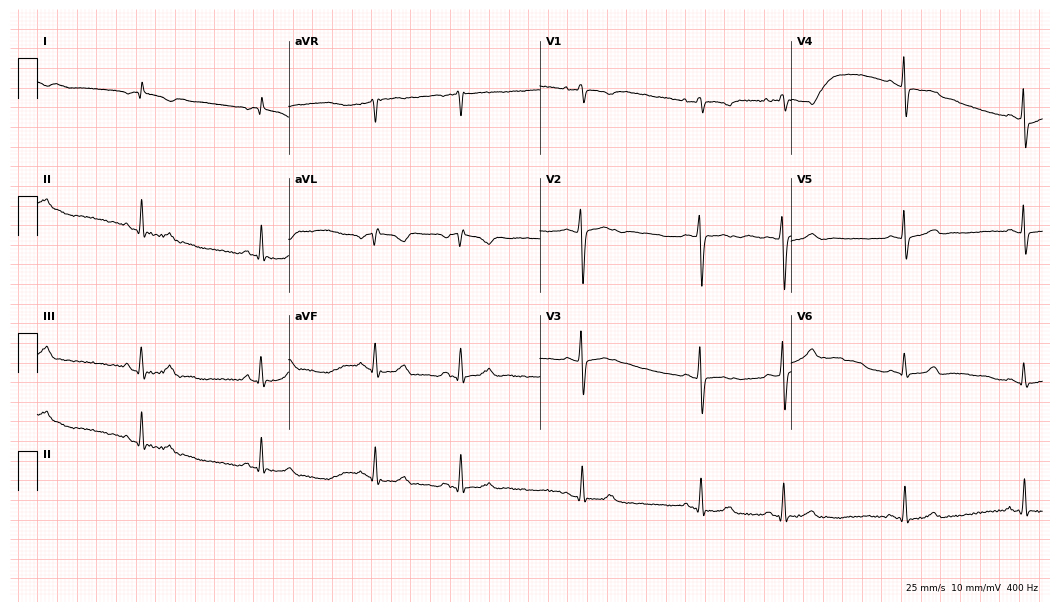
Electrocardiogram (10.2-second recording at 400 Hz), a female, 20 years old. Of the six screened findings (first-degree AV block, right bundle branch block, left bundle branch block, sinus bradycardia, atrial fibrillation, sinus tachycardia), none is recorded. Only these six findings were labelled.